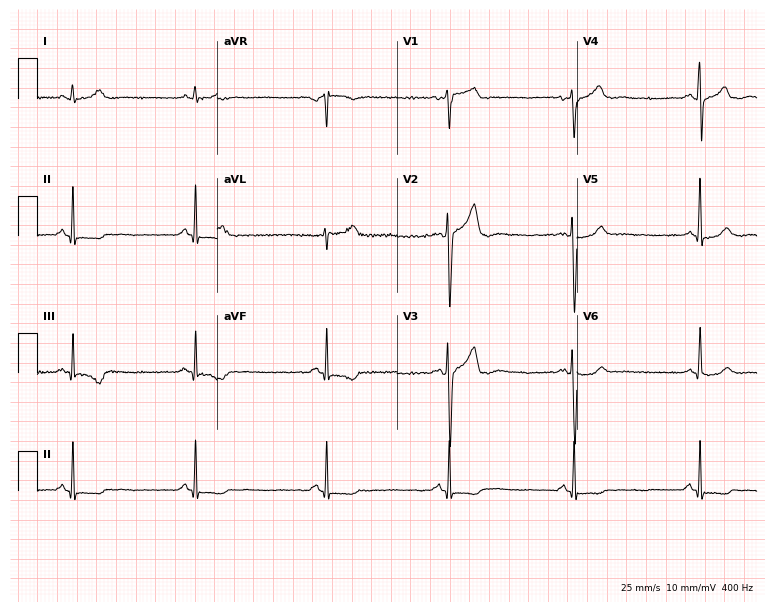
ECG (7.3-second recording at 400 Hz) — a 50-year-old male patient. Findings include sinus bradycardia (a sinus rate of 50 beats per minute or less).